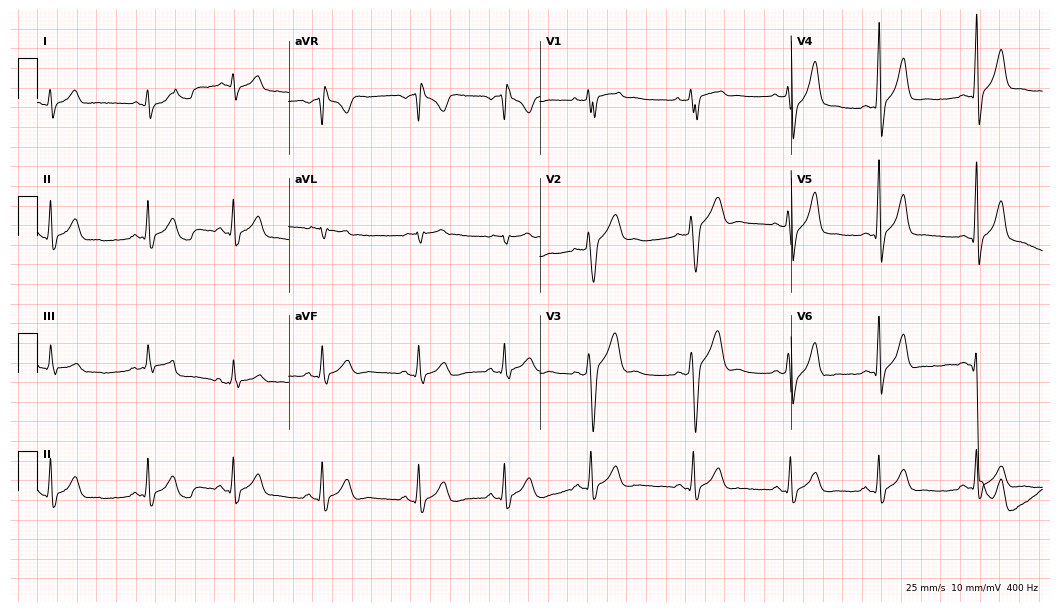
Electrocardiogram (10.2-second recording at 400 Hz), a male, 33 years old. Of the six screened findings (first-degree AV block, right bundle branch block, left bundle branch block, sinus bradycardia, atrial fibrillation, sinus tachycardia), none is recorded.